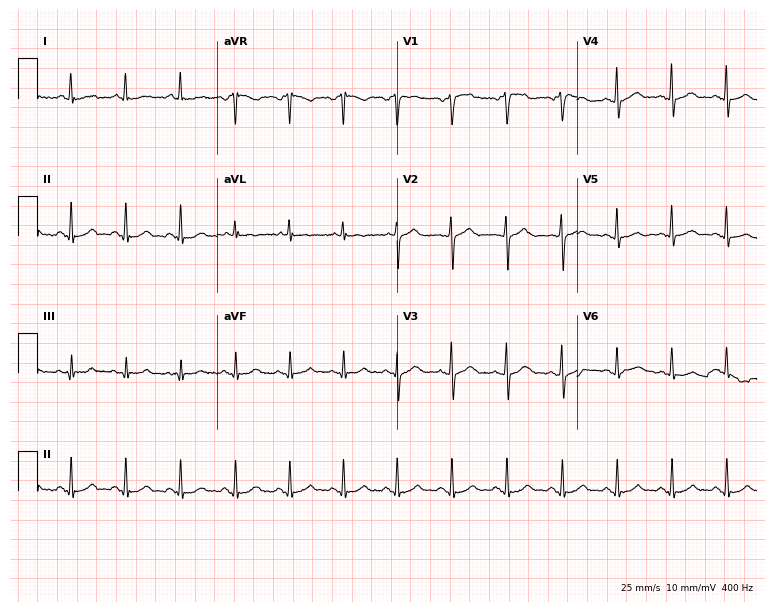
ECG (7.3-second recording at 400 Hz) — a 49-year-old male patient. Findings include sinus tachycardia (a sinus rate of 100 beats per minute or more).